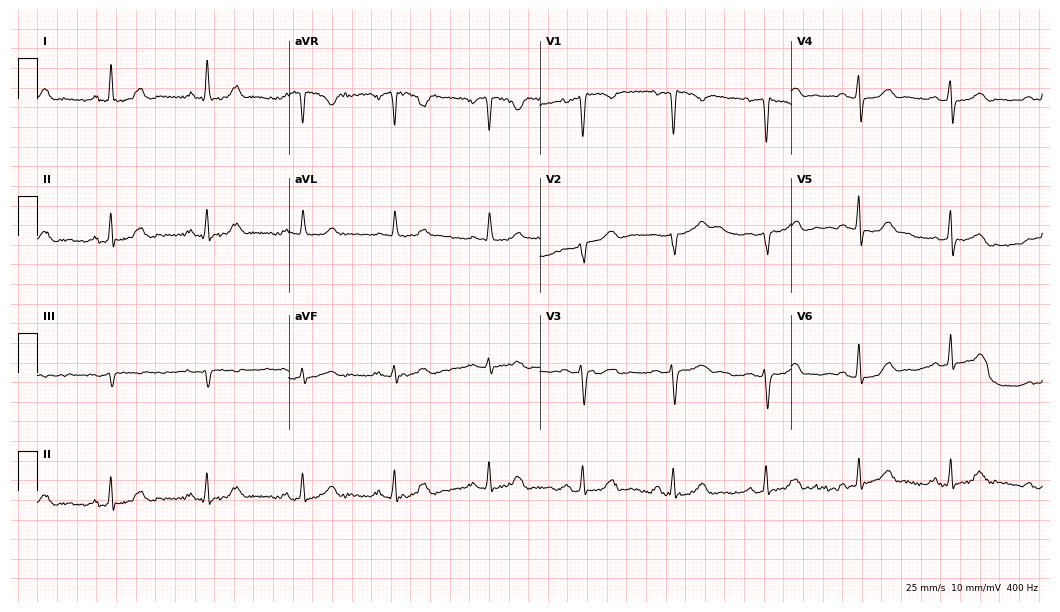
Resting 12-lead electrocardiogram (10.2-second recording at 400 Hz). Patient: a 40-year-old female. None of these six findings is recorded: first-degree AV block, right bundle branch block, left bundle branch block, sinus bradycardia, atrial fibrillation, sinus tachycardia. Other findings, if any, are not listed.